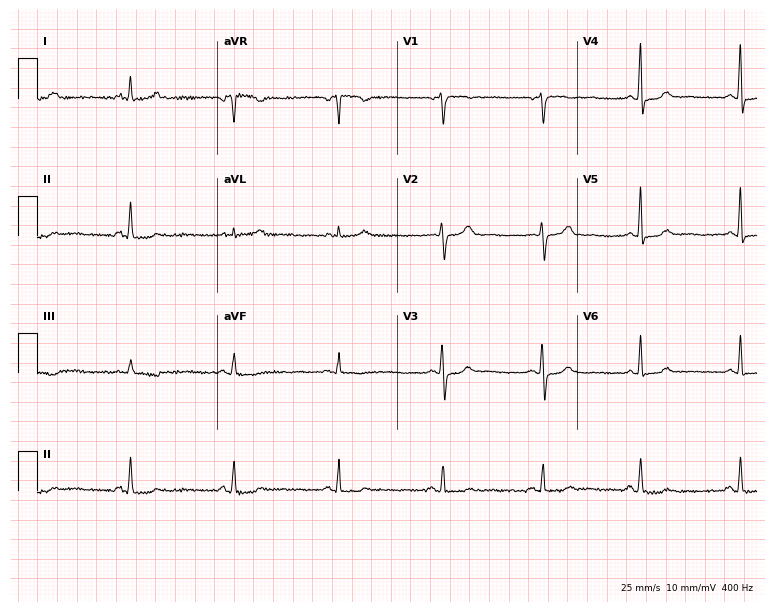
Standard 12-lead ECG recorded from a 49-year-old female (7.3-second recording at 400 Hz). None of these six findings is recorded: first-degree AV block, right bundle branch block, left bundle branch block, sinus bradycardia, atrial fibrillation, sinus tachycardia.